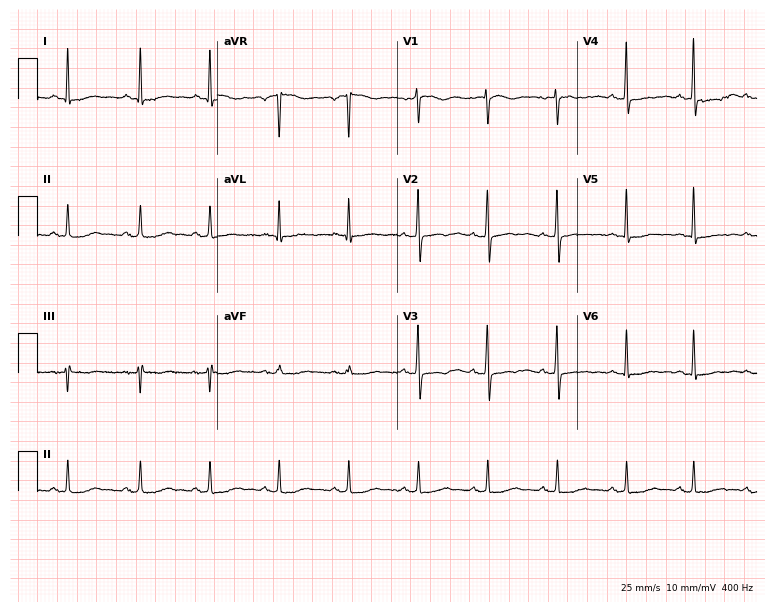
12-lead ECG from a 34-year-old woman (7.3-second recording at 400 Hz). No first-degree AV block, right bundle branch block, left bundle branch block, sinus bradycardia, atrial fibrillation or sinus tachycardia recorded for this tracing. Only these six findings were labelled.